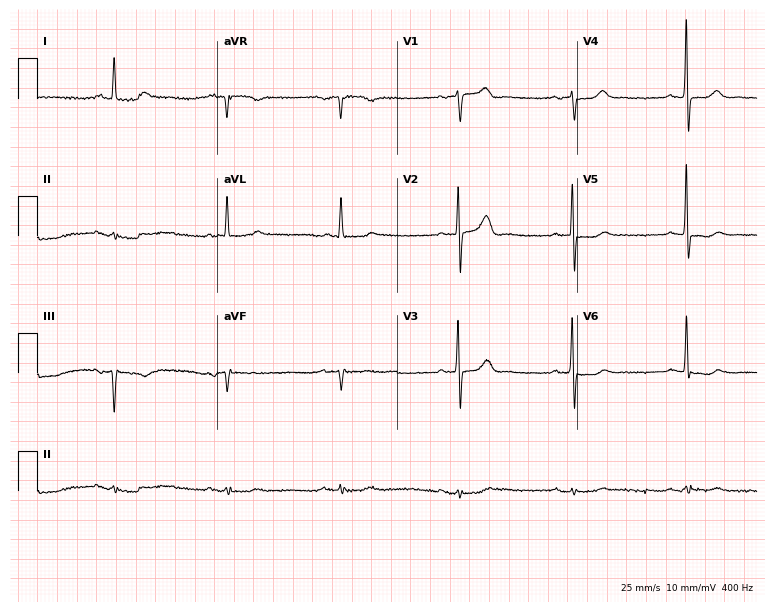
Standard 12-lead ECG recorded from a male, 74 years old. None of these six findings is recorded: first-degree AV block, right bundle branch block, left bundle branch block, sinus bradycardia, atrial fibrillation, sinus tachycardia.